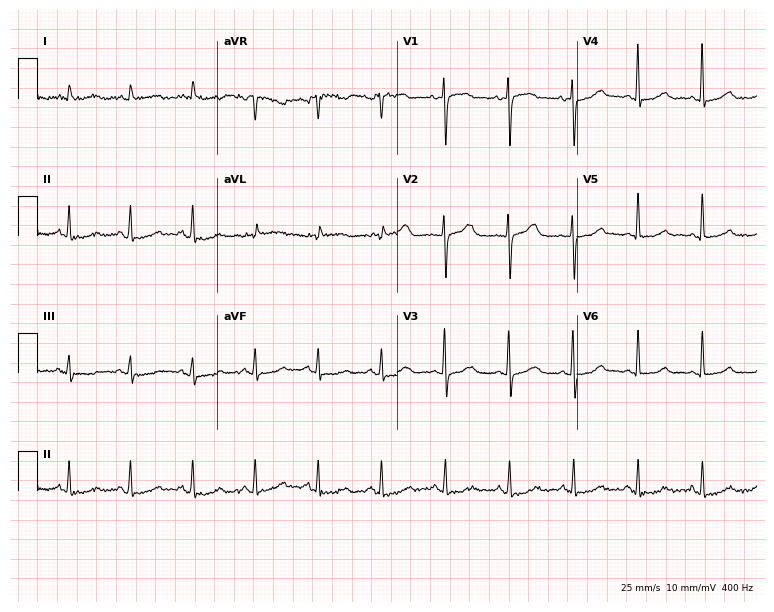
ECG — a woman, 77 years old. Labelled as a normal ECG.